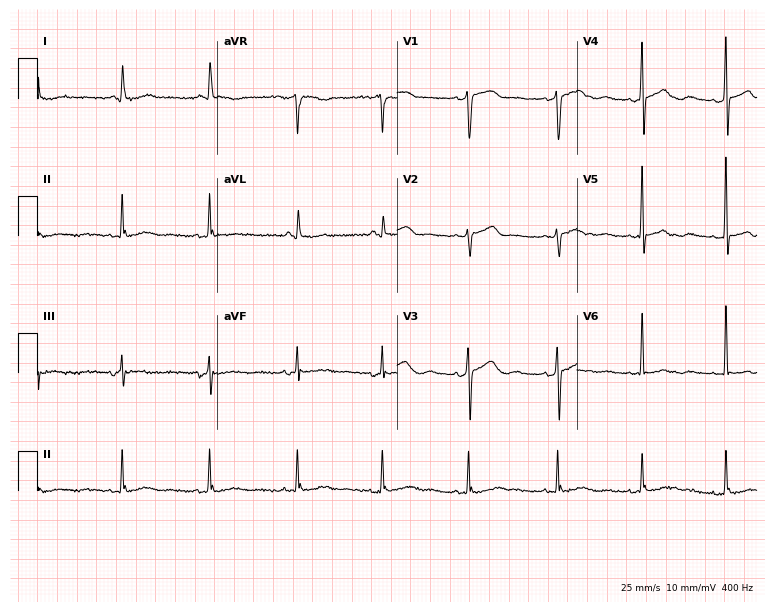
ECG — a woman, 60 years old. Labelled as a normal ECG.